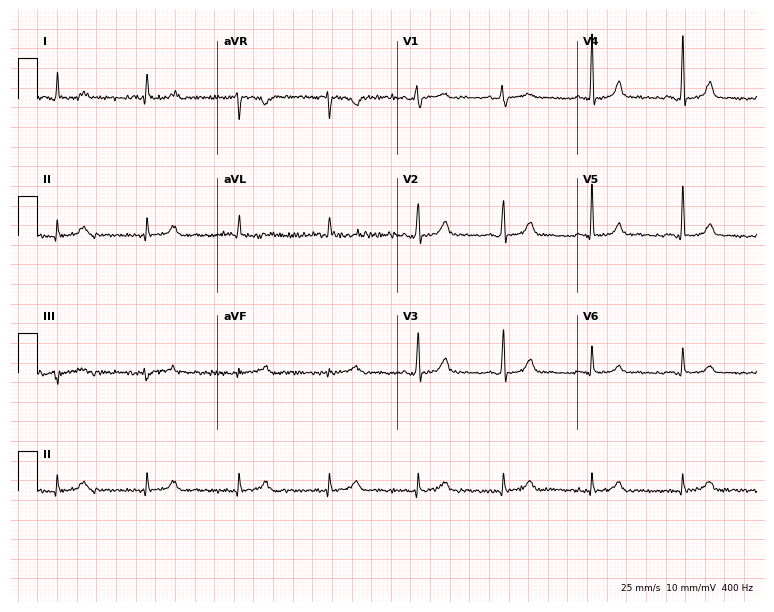
Standard 12-lead ECG recorded from a female patient, 83 years old (7.3-second recording at 400 Hz). Read as a normal ECG.